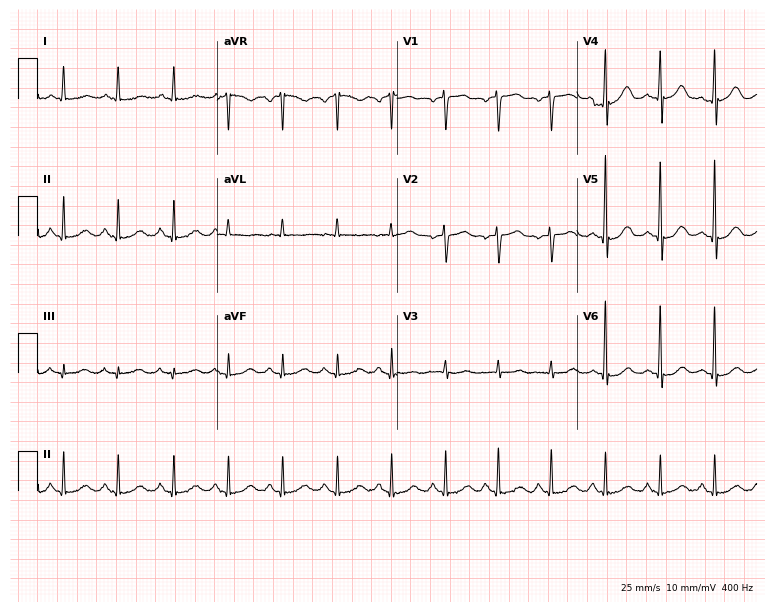
Resting 12-lead electrocardiogram (7.3-second recording at 400 Hz). Patient: a female, 56 years old. The tracing shows sinus tachycardia (a sinus rate of 100 beats per minute or more).